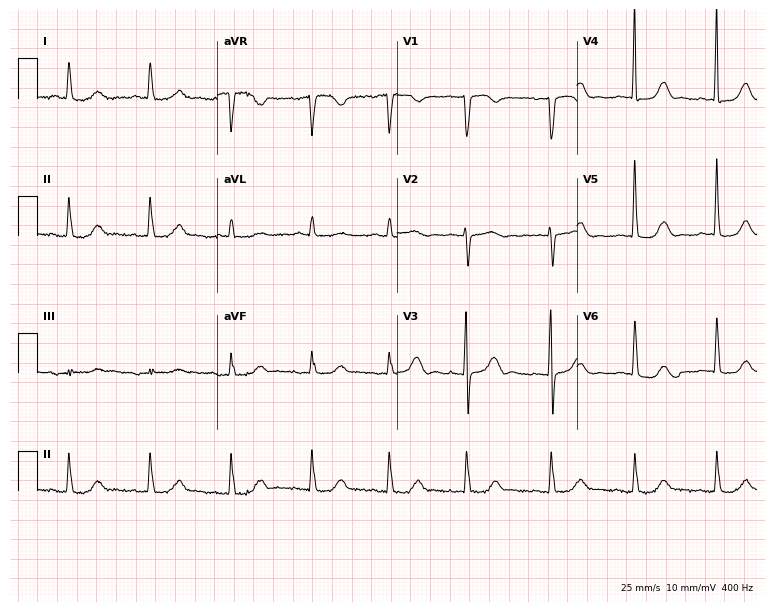
Resting 12-lead electrocardiogram. Patient: a man, 85 years old. Read as a normal ECG.